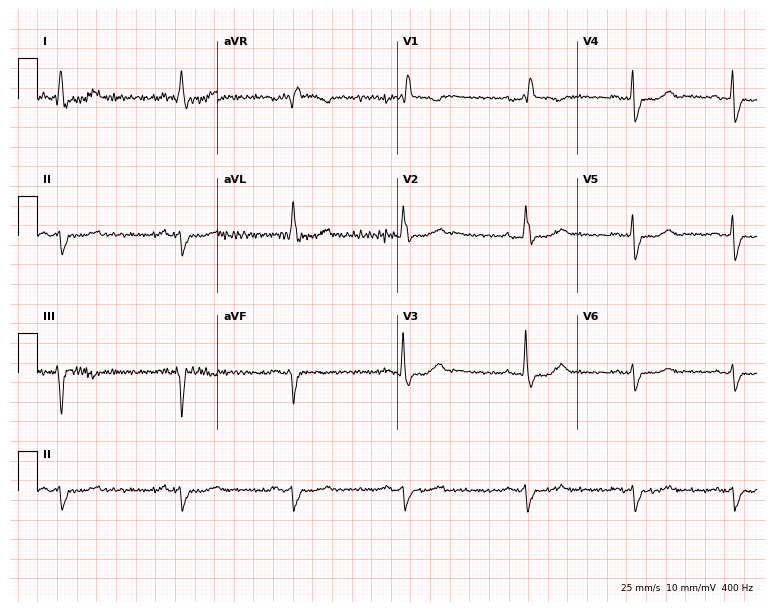
12-lead ECG from a female, 70 years old. Findings include right bundle branch block.